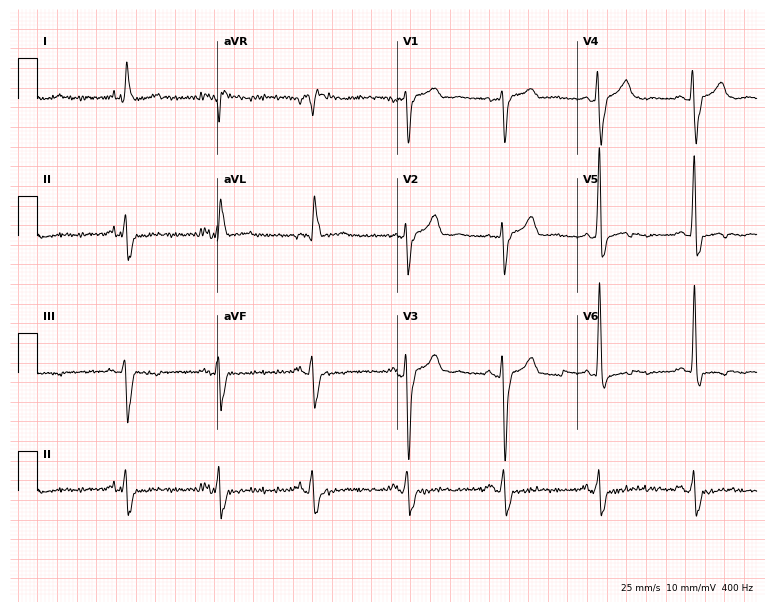
12-lead ECG from an 81-year-old female patient. Screened for six findings — first-degree AV block, right bundle branch block, left bundle branch block, sinus bradycardia, atrial fibrillation, sinus tachycardia — none is recorded. Other findings, if any, are not listed.